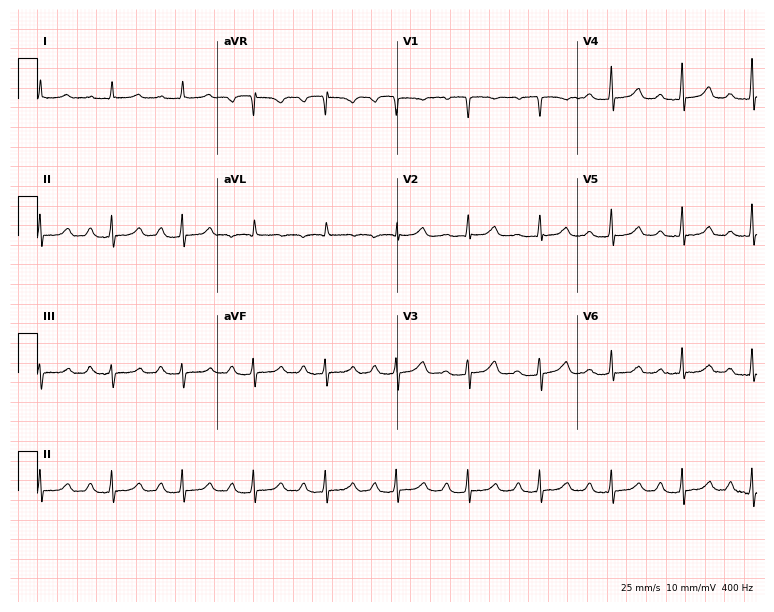
Standard 12-lead ECG recorded from a 50-year-old female. The tracing shows first-degree AV block.